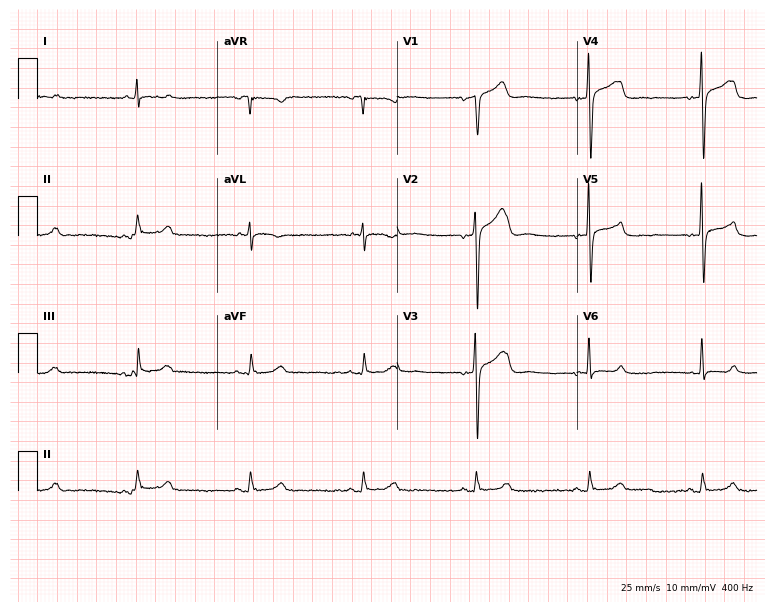
Standard 12-lead ECG recorded from a male patient, 62 years old (7.3-second recording at 400 Hz). None of these six findings is recorded: first-degree AV block, right bundle branch block, left bundle branch block, sinus bradycardia, atrial fibrillation, sinus tachycardia. Other findings, if any, are not listed.